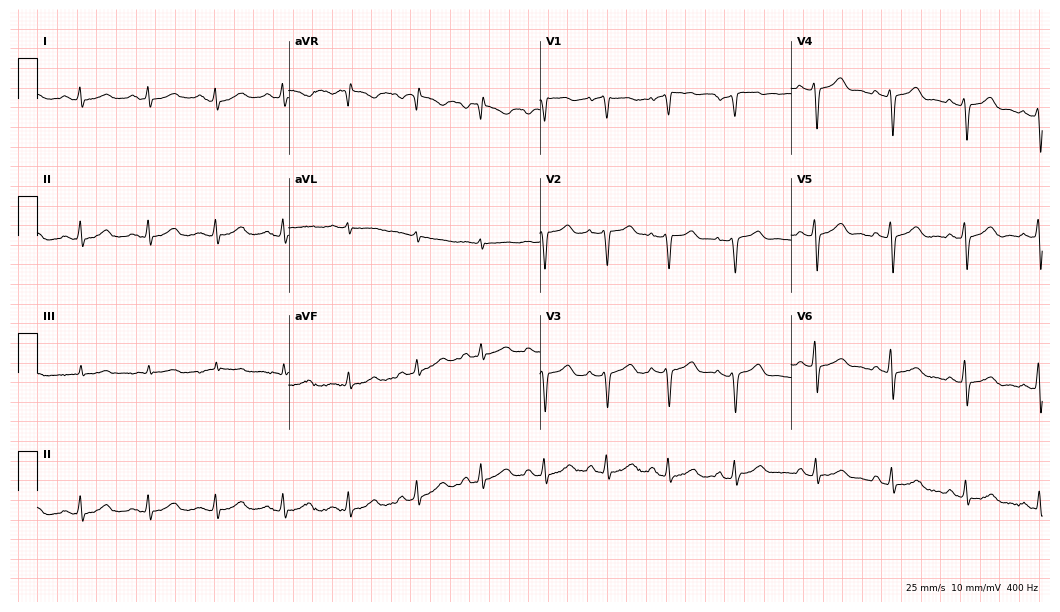
Electrocardiogram (10.2-second recording at 400 Hz), a 52-year-old woman. Overall reading on record: normal ECG.